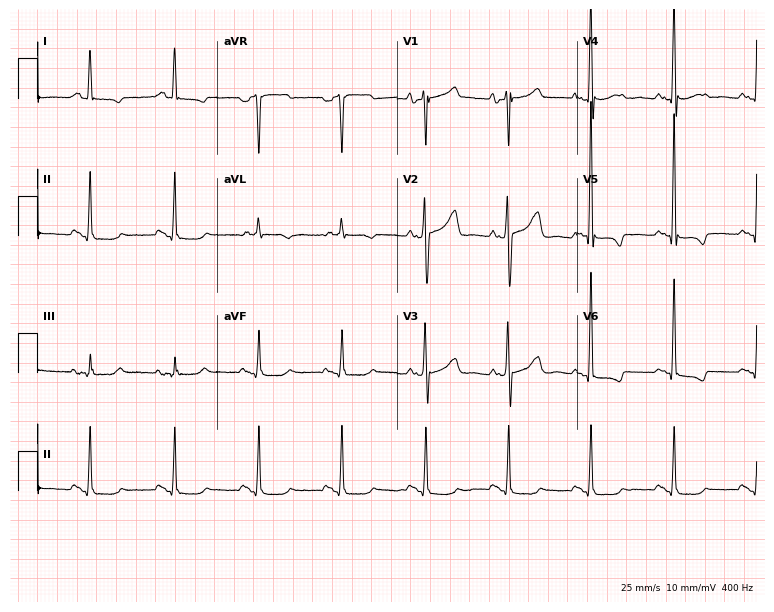
12-lead ECG (7.3-second recording at 400 Hz) from a 67-year-old male patient. Screened for six findings — first-degree AV block, right bundle branch block, left bundle branch block, sinus bradycardia, atrial fibrillation, sinus tachycardia — none is recorded. Only these six findings were labelled.